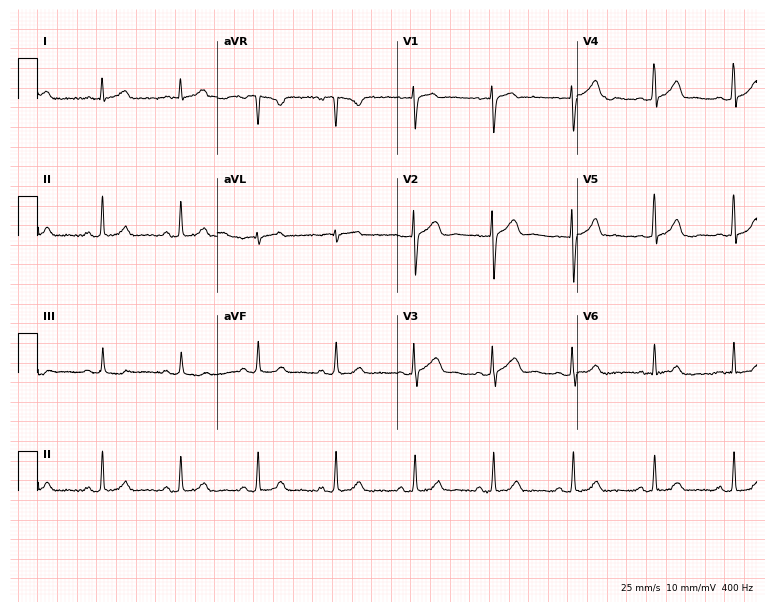
12-lead ECG from a female patient, 28 years old. Recorded interpretation: within normal limits.